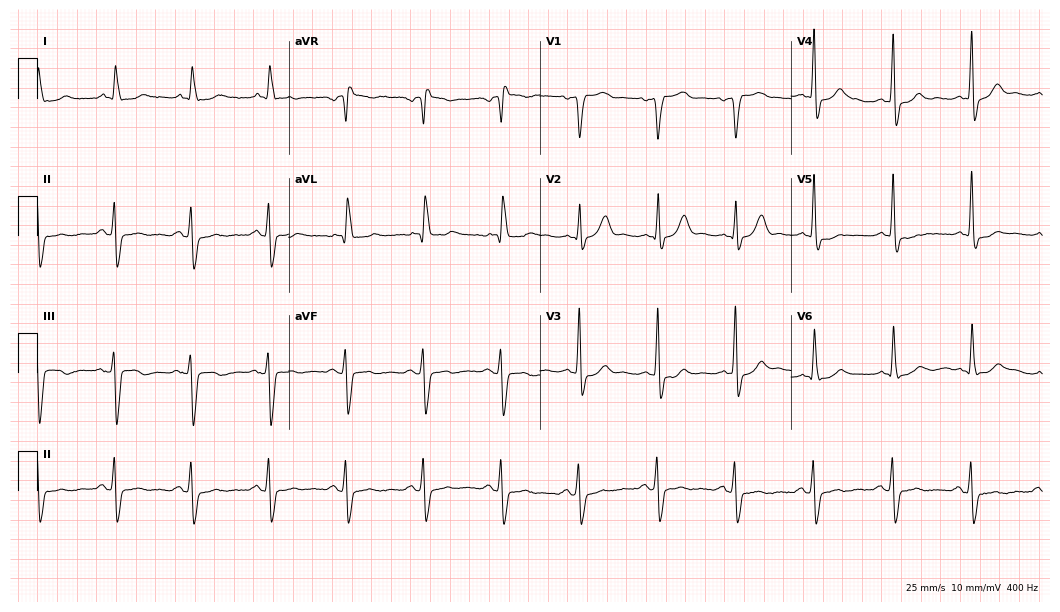
12-lead ECG from an 83-year-old man. No first-degree AV block, right bundle branch block, left bundle branch block, sinus bradycardia, atrial fibrillation or sinus tachycardia recorded for this tracing. Only these six findings were labelled.